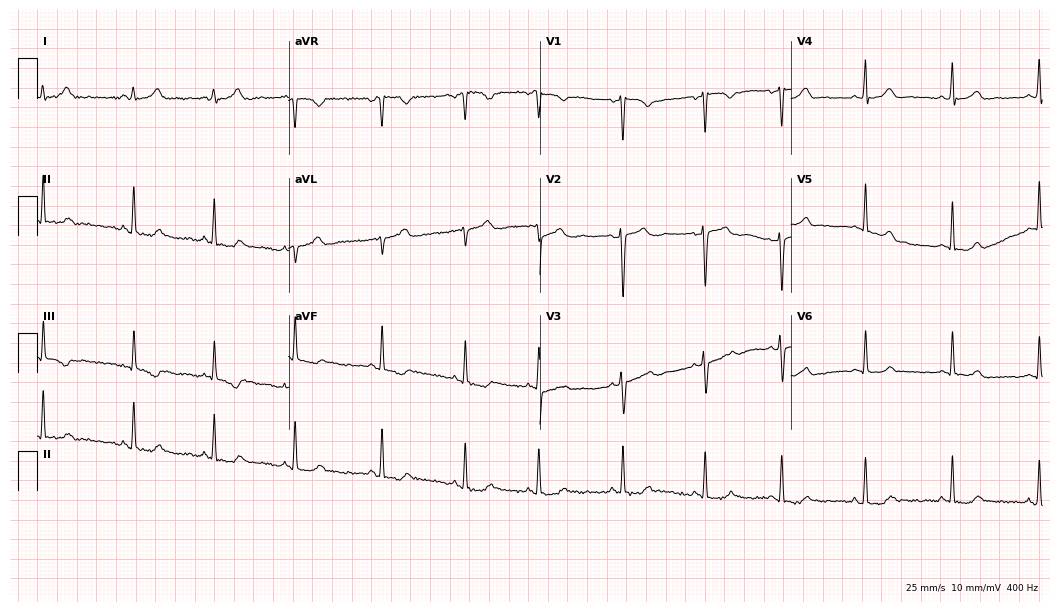
12-lead ECG from a female patient, 22 years old. Screened for six findings — first-degree AV block, right bundle branch block, left bundle branch block, sinus bradycardia, atrial fibrillation, sinus tachycardia — none is recorded.